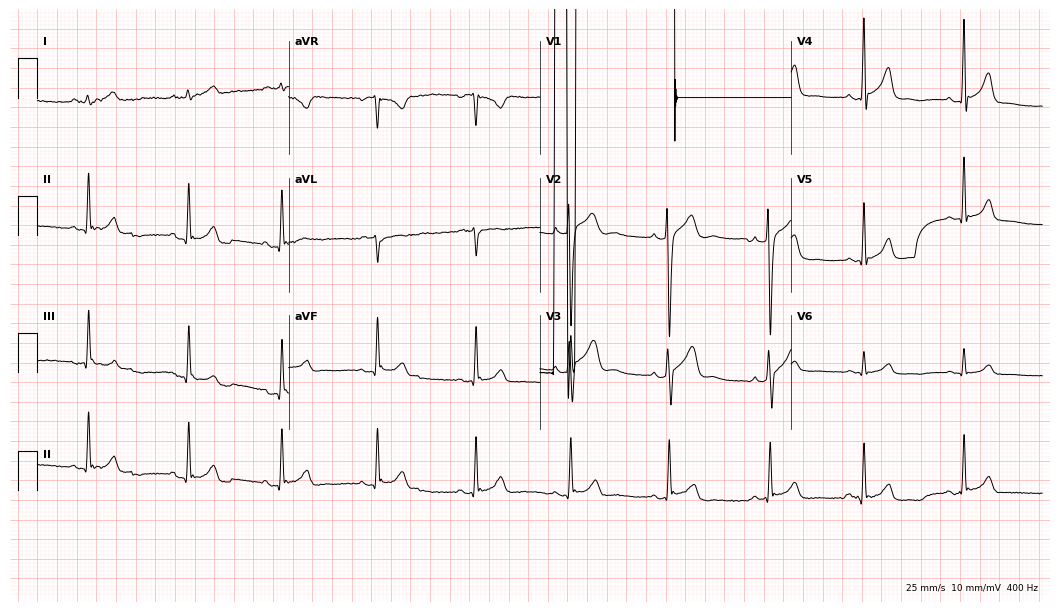
Resting 12-lead electrocardiogram. Patient: a male, 24 years old. None of these six findings is recorded: first-degree AV block, right bundle branch block, left bundle branch block, sinus bradycardia, atrial fibrillation, sinus tachycardia. Other findings, if any, are not listed.